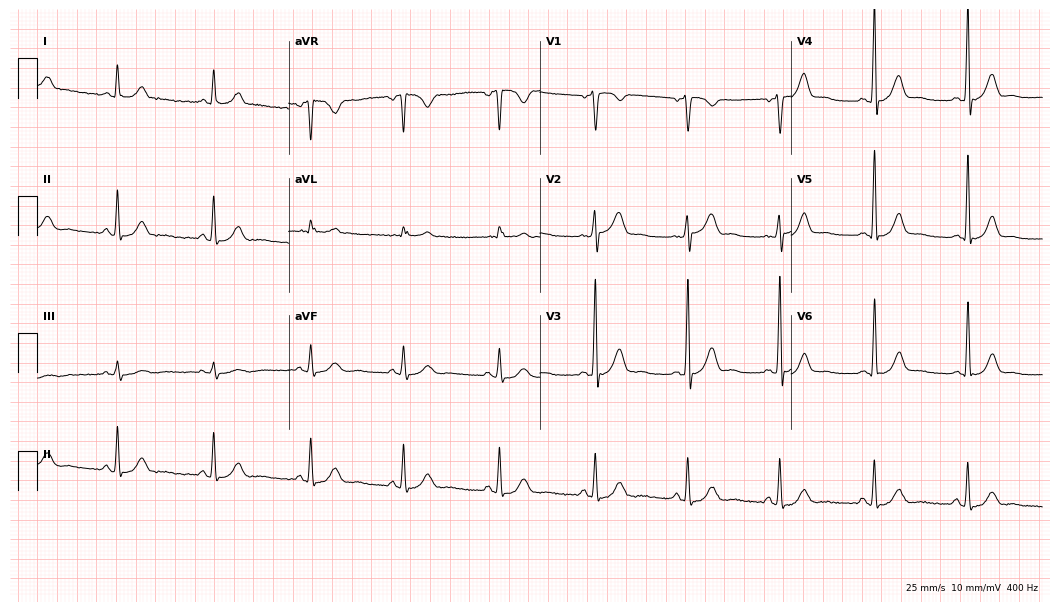
12-lead ECG from a 44-year-old male (10.2-second recording at 400 Hz). No first-degree AV block, right bundle branch block, left bundle branch block, sinus bradycardia, atrial fibrillation or sinus tachycardia recorded for this tracing. Only these six findings were labelled.